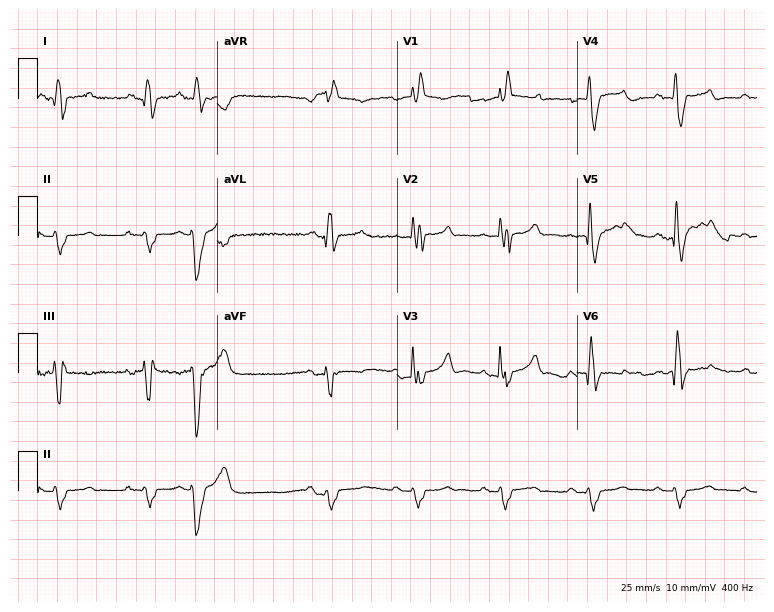
ECG — a male, 57 years old. Findings include right bundle branch block.